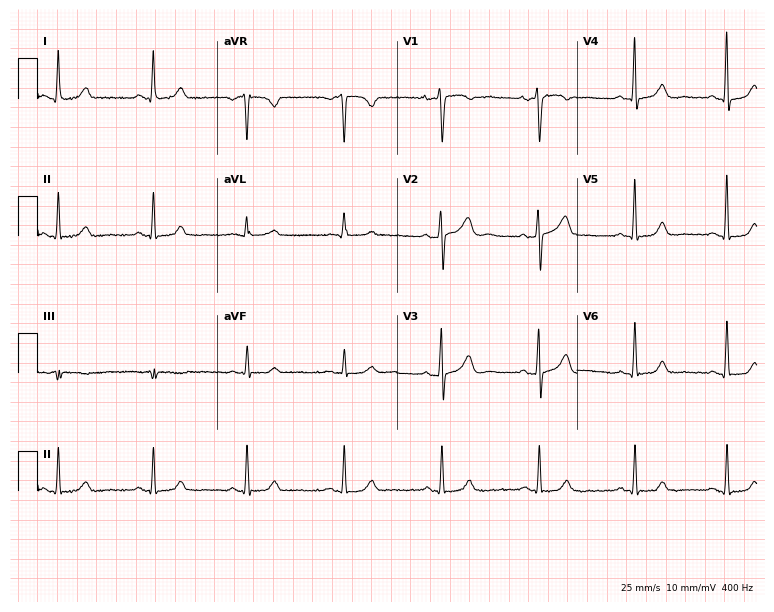
Standard 12-lead ECG recorded from a female, 36 years old. Read as a normal ECG.